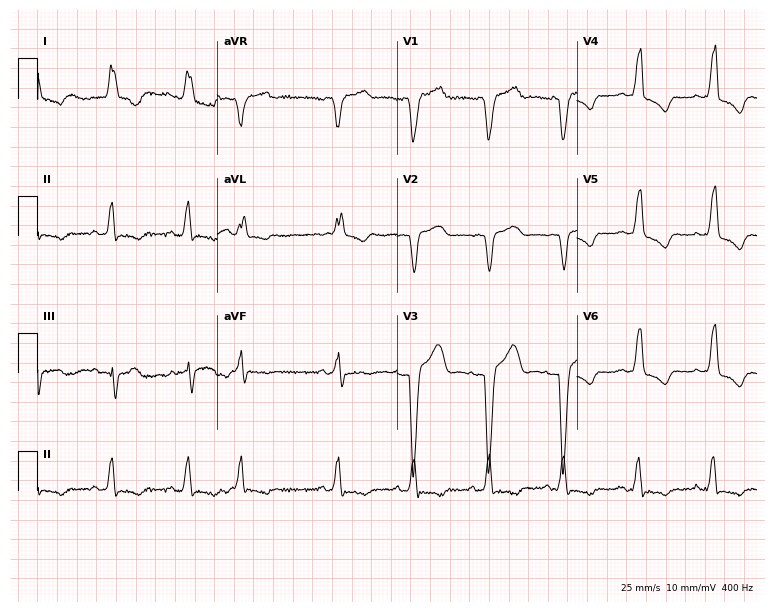
Resting 12-lead electrocardiogram. Patient: a woman, 80 years old. The tracing shows left bundle branch block.